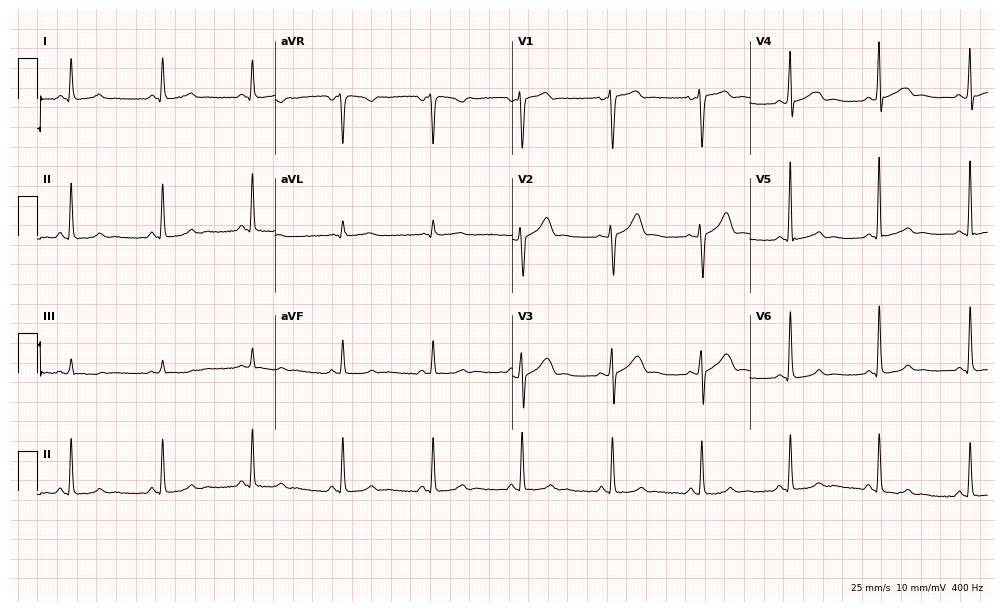
Standard 12-lead ECG recorded from a man, 61 years old (9.7-second recording at 400 Hz). Read as a normal ECG.